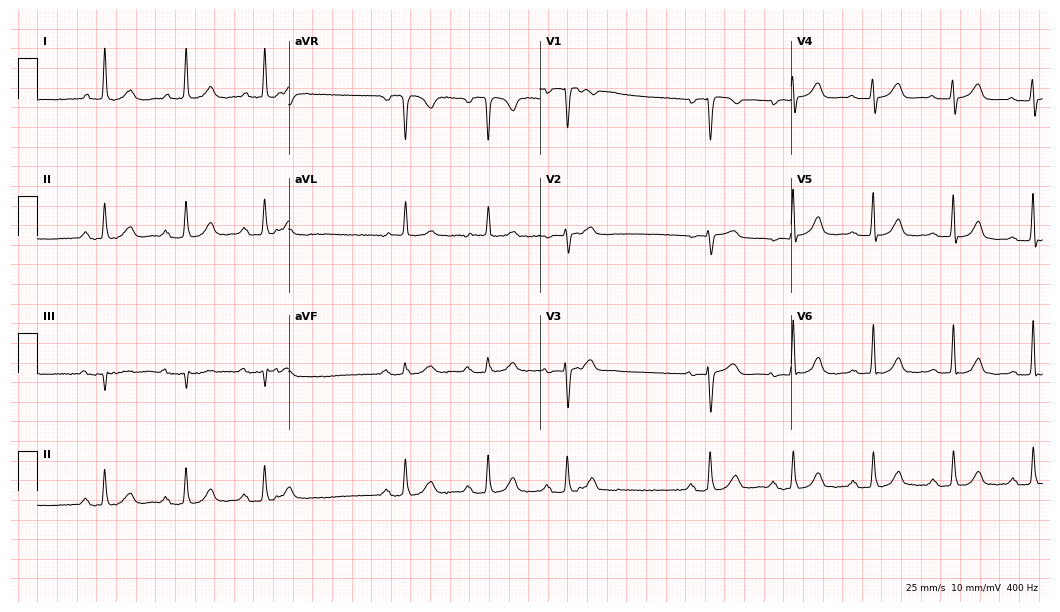
Resting 12-lead electrocardiogram (10.2-second recording at 400 Hz). Patient: a 77-year-old female. The tracing shows first-degree AV block.